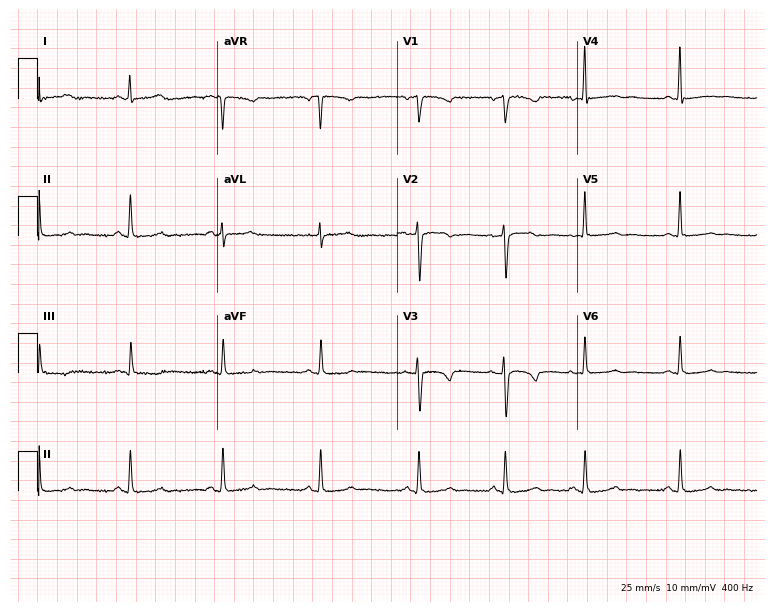
12-lead ECG from a 30-year-old female patient. No first-degree AV block, right bundle branch block, left bundle branch block, sinus bradycardia, atrial fibrillation or sinus tachycardia recorded for this tracing. Only these six findings were labelled.